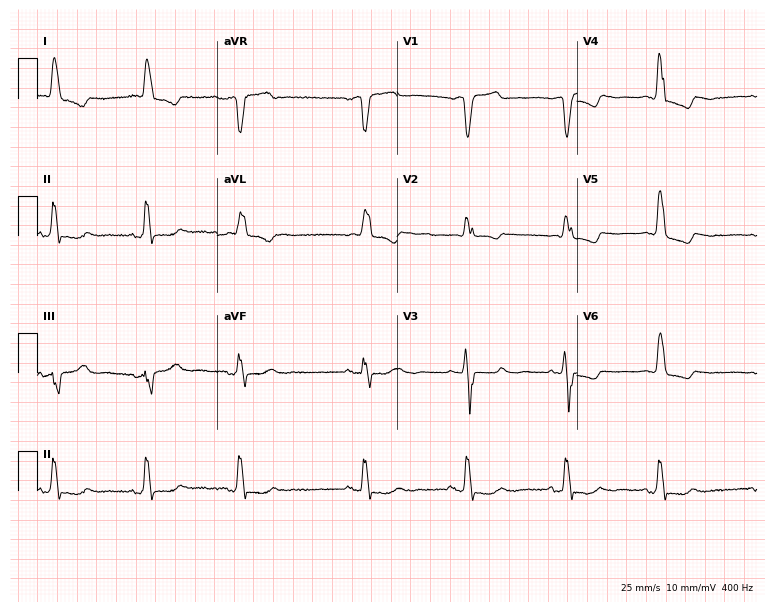
Resting 12-lead electrocardiogram (7.3-second recording at 400 Hz). Patient: a female, 84 years old. None of these six findings is recorded: first-degree AV block, right bundle branch block (RBBB), left bundle branch block (LBBB), sinus bradycardia, atrial fibrillation (AF), sinus tachycardia. Findings outside these six are not listed.